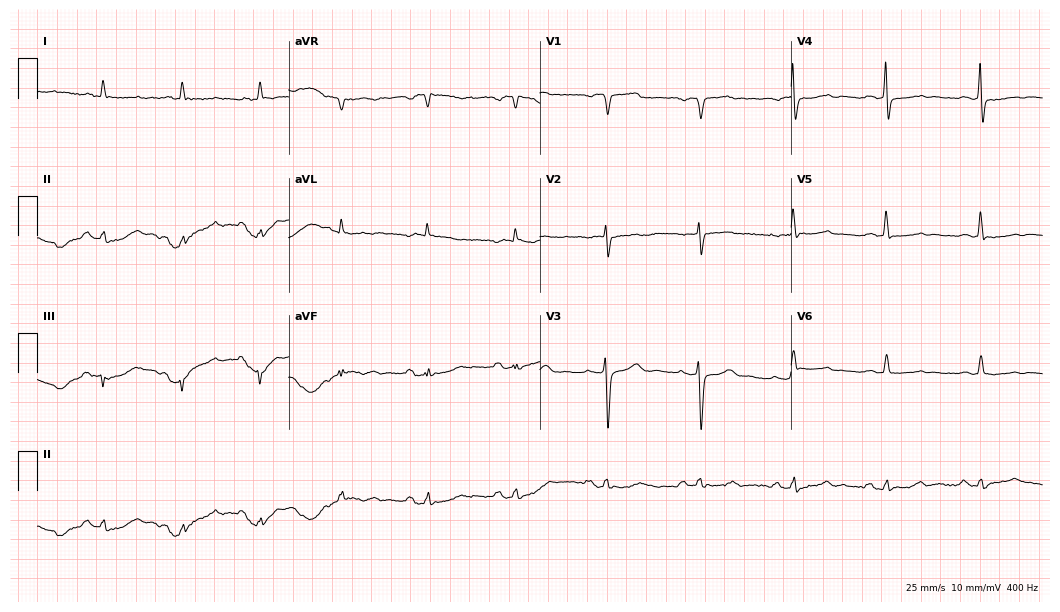
12-lead ECG from an 81-year-old male patient (10.2-second recording at 400 Hz). No first-degree AV block, right bundle branch block (RBBB), left bundle branch block (LBBB), sinus bradycardia, atrial fibrillation (AF) or sinus tachycardia recorded for this tracing. Other findings, if any, are not listed.